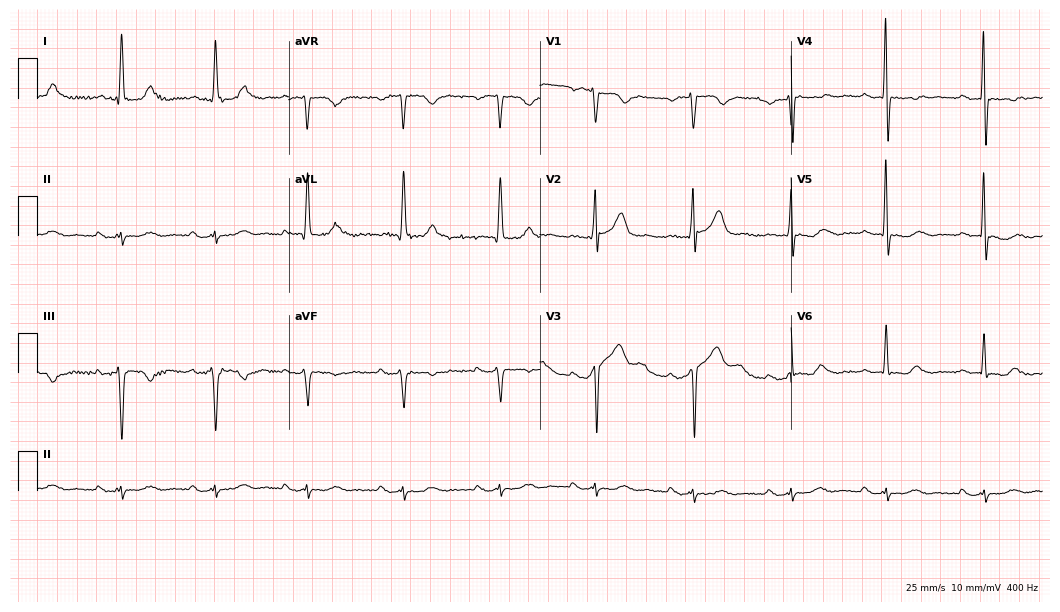
Electrocardiogram (10.2-second recording at 400 Hz), a man, 71 years old. Of the six screened findings (first-degree AV block, right bundle branch block, left bundle branch block, sinus bradycardia, atrial fibrillation, sinus tachycardia), none is recorded.